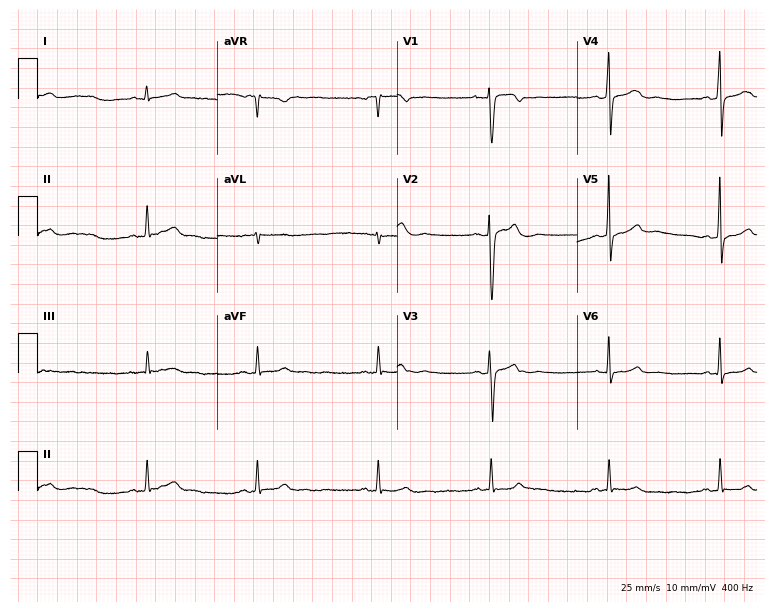
Electrocardiogram (7.3-second recording at 400 Hz), a female, 22 years old. Of the six screened findings (first-degree AV block, right bundle branch block, left bundle branch block, sinus bradycardia, atrial fibrillation, sinus tachycardia), none is recorded. Only these six findings were labelled.